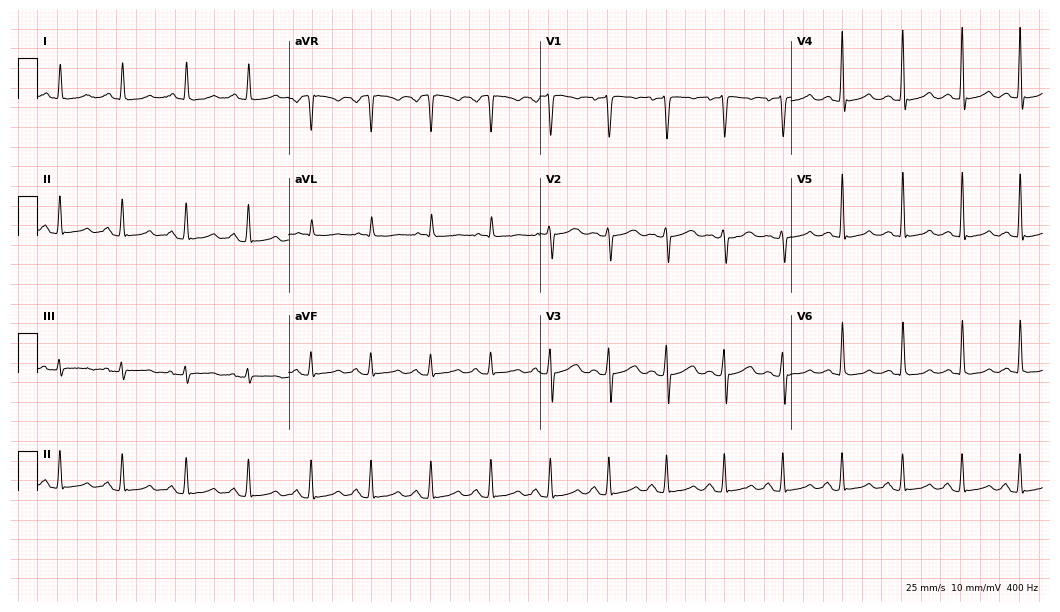
ECG — a 31-year-old female. Labelled as a normal ECG.